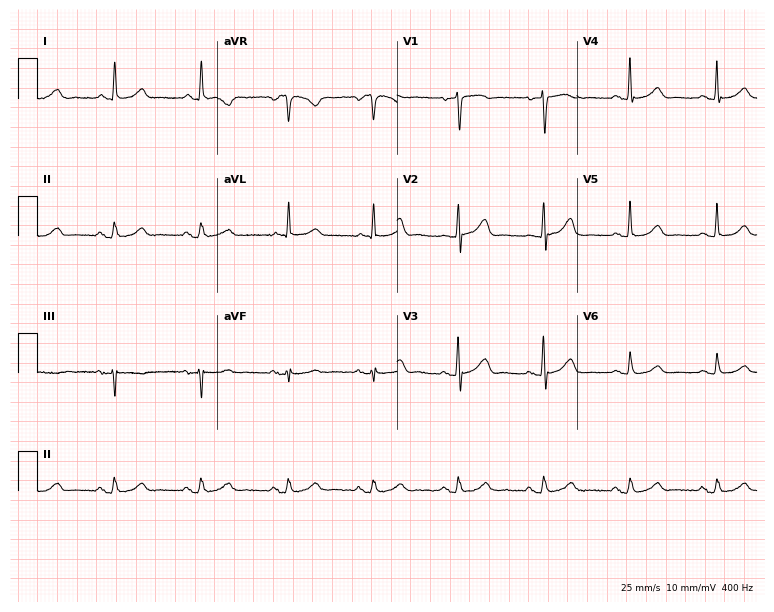
12-lead ECG from a 72-year-old woman. Recorded interpretation: within normal limits.